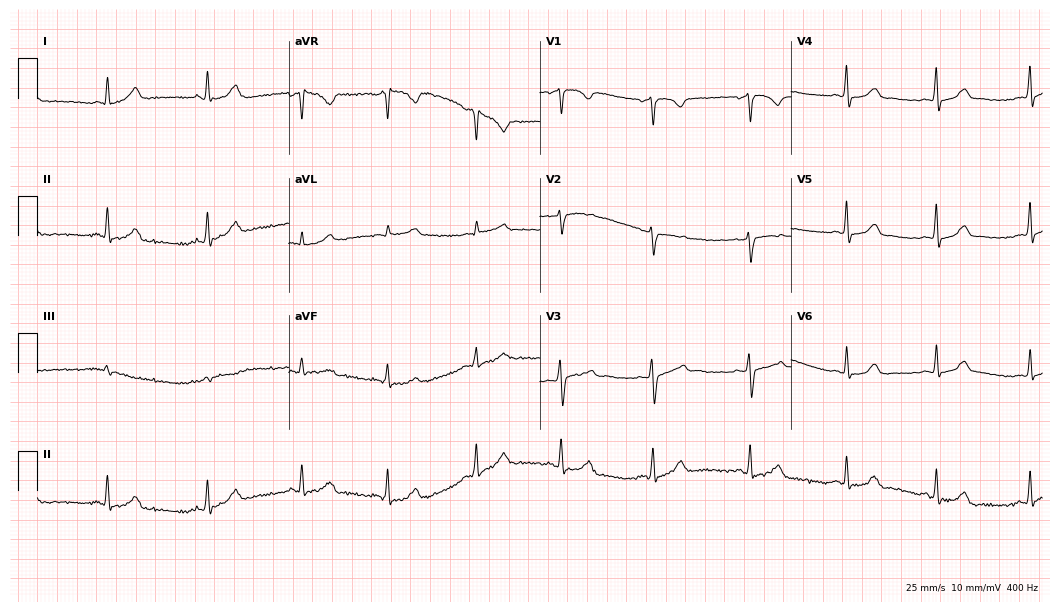
Resting 12-lead electrocardiogram (10.2-second recording at 400 Hz). Patient: a woman, 37 years old. None of these six findings is recorded: first-degree AV block, right bundle branch block, left bundle branch block, sinus bradycardia, atrial fibrillation, sinus tachycardia. Only these six findings were labelled.